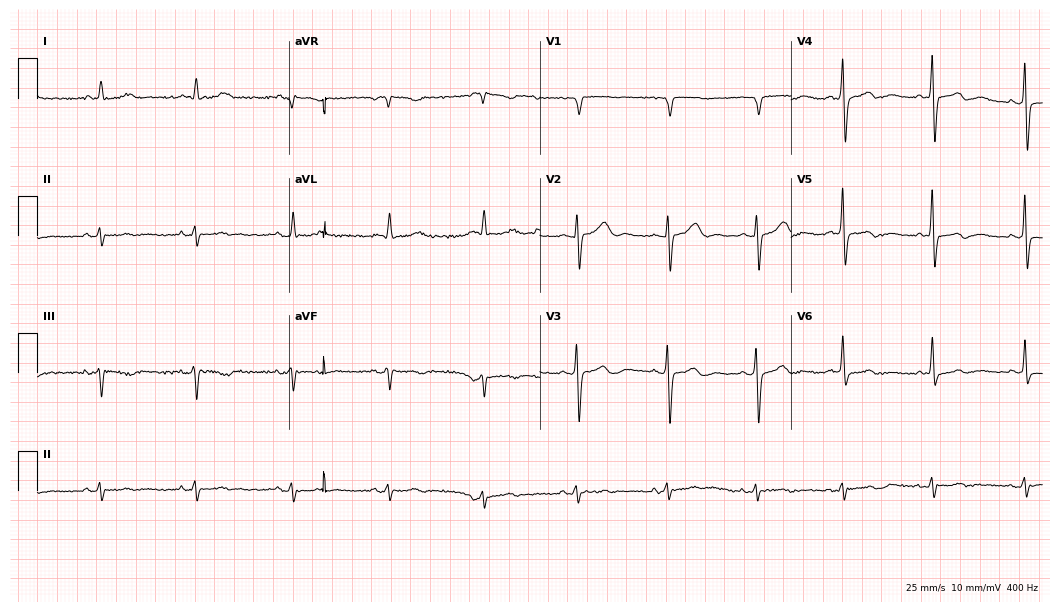
Electrocardiogram (10.2-second recording at 400 Hz), a 66-year-old male. Of the six screened findings (first-degree AV block, right bundle branch block (RBBB), left bundle branch block (LBBB), sinus bradycardia, atrial fibrillation (AF), sinus tachycardia), none is recorded. Other findings, if any, are not listed.